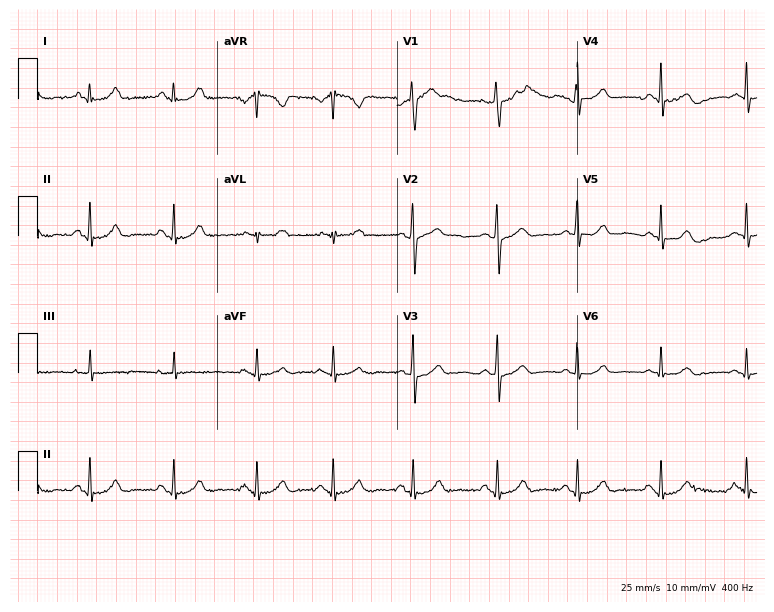
Resting 12-lead electrocardiogram (7.3-second recording at 400 Hz). Patient: a 19-year-old female. Read as a normal ECG.